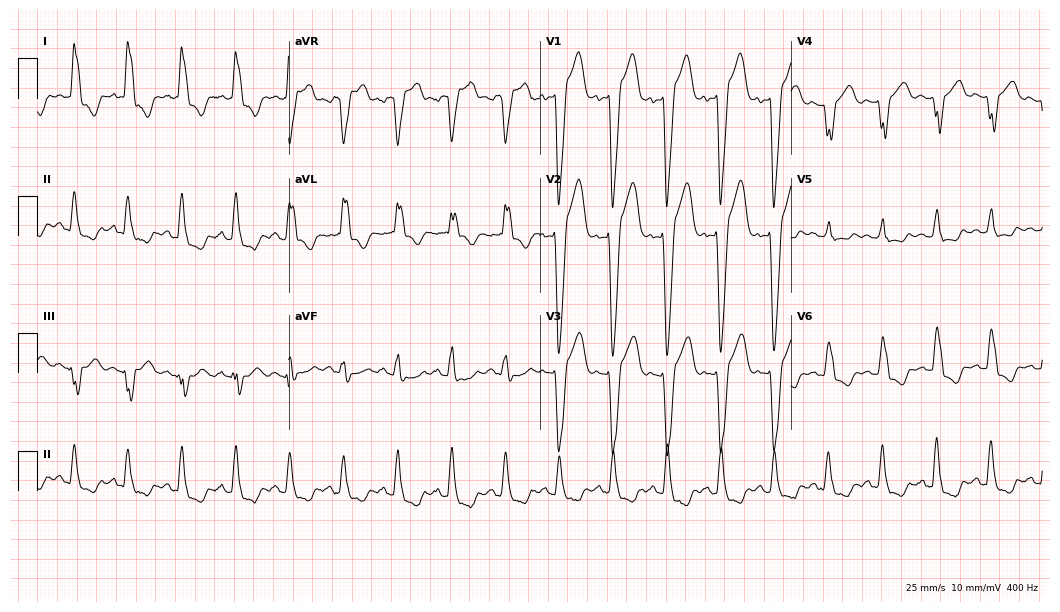
12-lead ECG (10.2-second recording at 400 Hz) from a female patient, 74 years old. Findings include left bundle branch block (LBBB), sinus tachycardia (a sinus rate of 100 beats per minute or more).